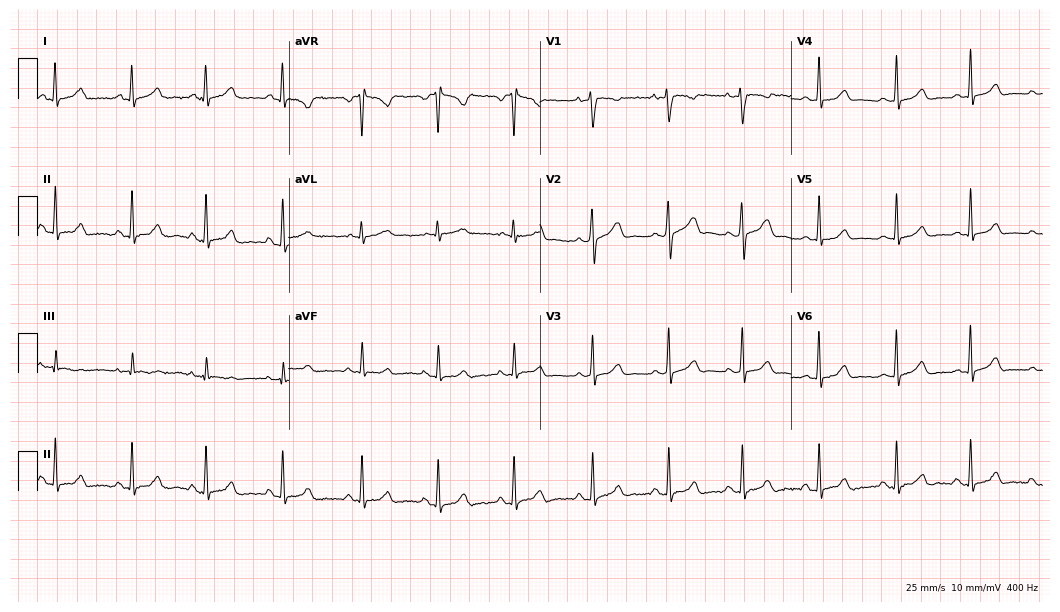
ECG — a 29-year-old woman. Labelled as a normal ECG.